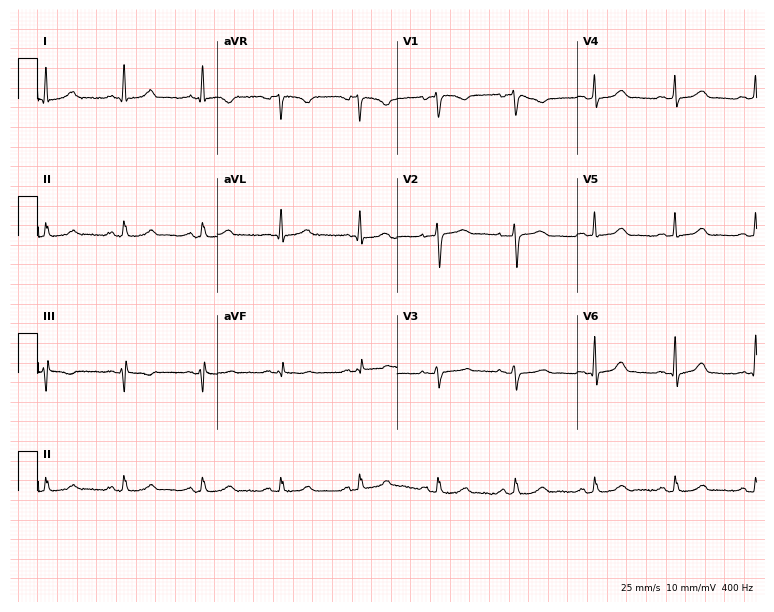
12-lead ECG (7.3-second recording at 400 Hz) from a female, 49 years old. Labelled as a normal ECG.